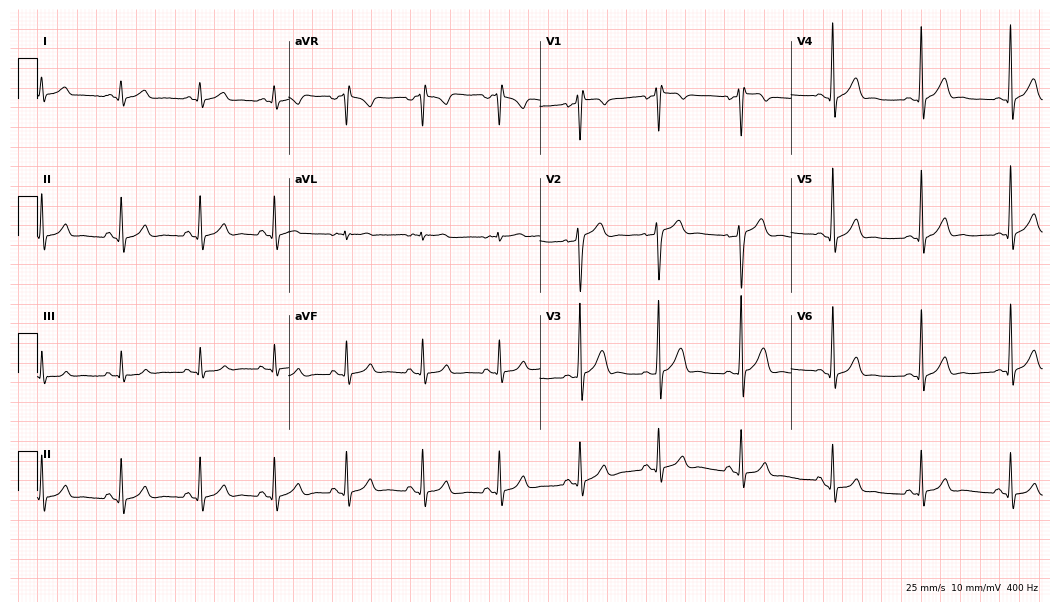
Standard 12-lead ECG recorded from a male patient, 20 years old (10.2-second recording at 400 Hz). Read as a normal ECG.